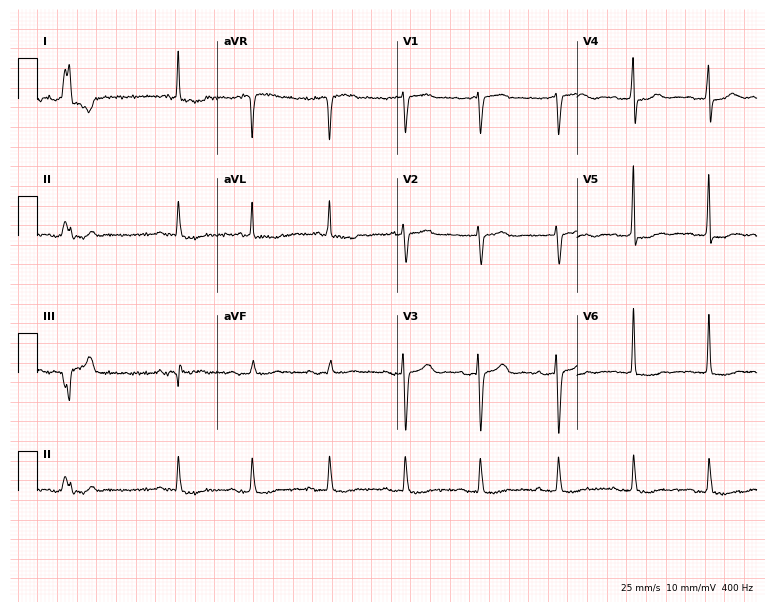
12-lead ECG (7.3-second recording at 400 Hz) from an 82-year-old woman. Screened for six findings — first-degree AV block, right bundle branch block (RBBB), left bundle branch block (LBBB), sinus bradycardia, atrial fibrillation (AF), sinus tachycardia — none is recorded. Only these six findings were labelled.